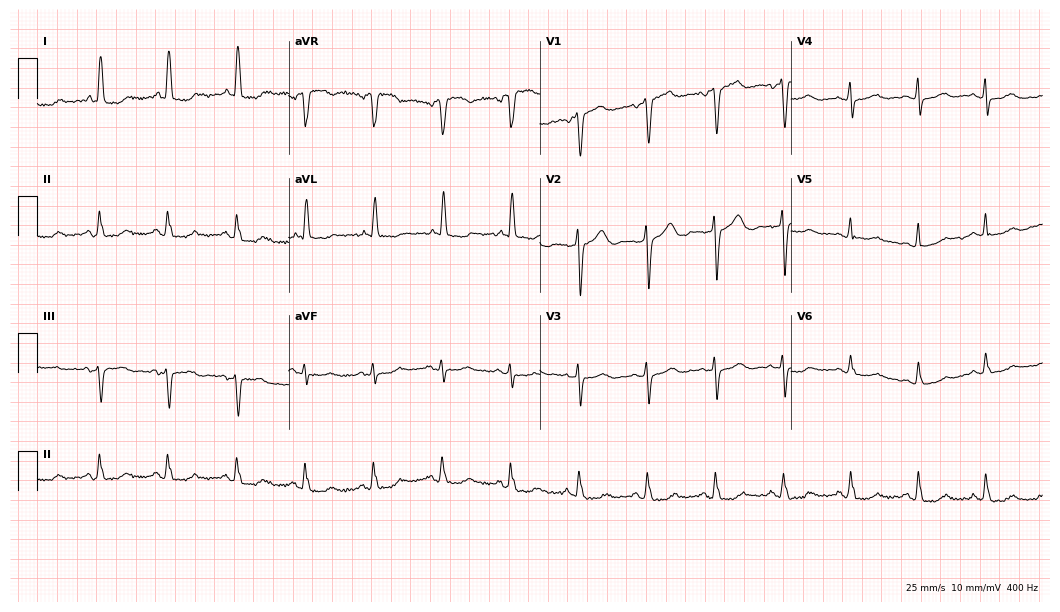
12-lead ECG from a 73-year-old female patient. Screened for six findings — first-degree AV block, right bundle branch block, left bundle branch block, sinus bradycardia, atrial fibrillation, sinus tachycardia — none is recorded. Findings outside these six are not listed.